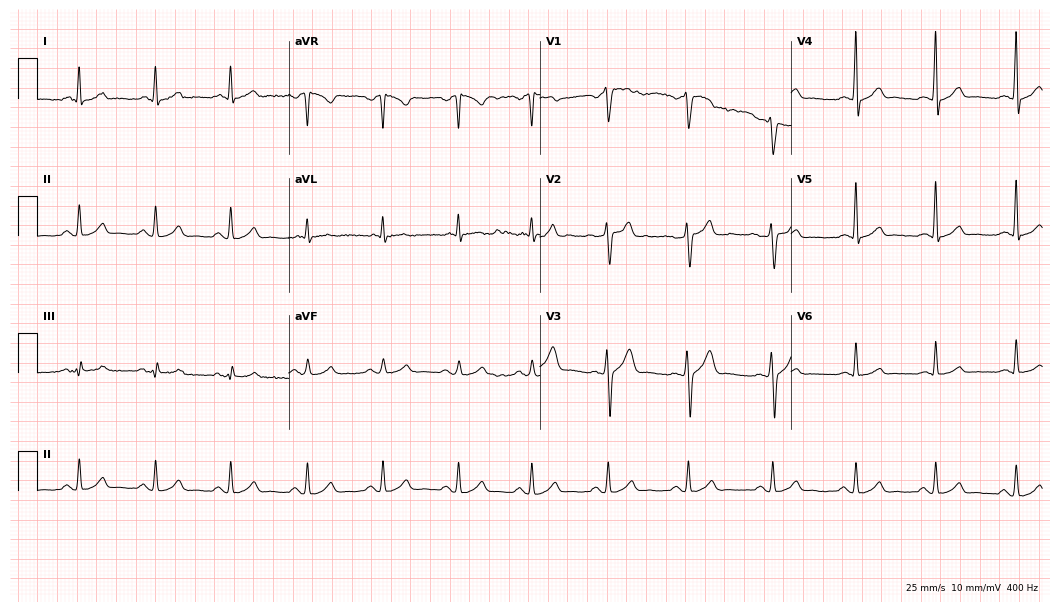
12-lead ECG from a male, 50 years old. Labelled as a normal ECG.